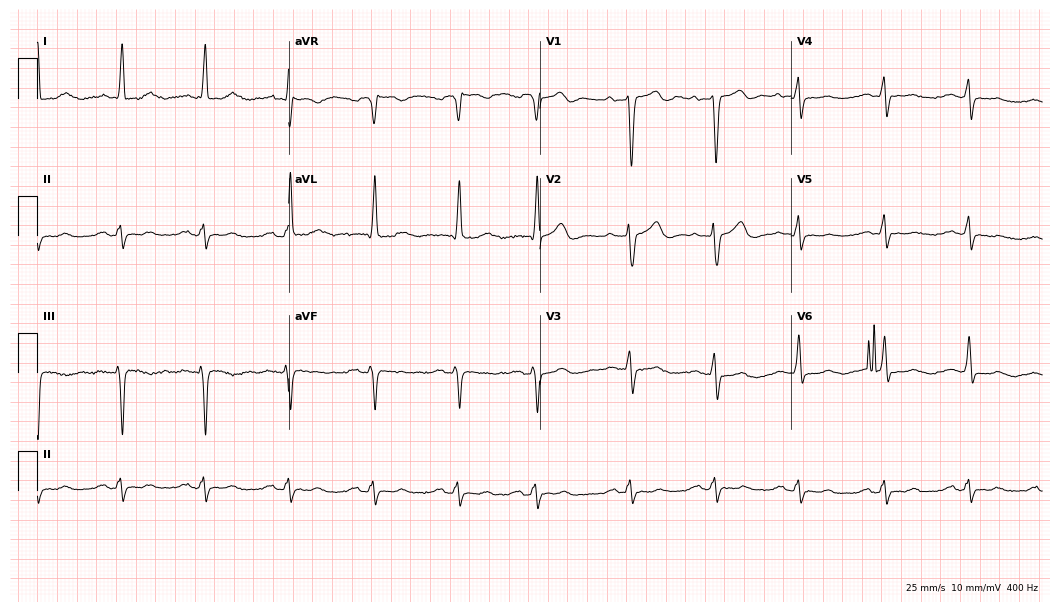
Standard 12-lead ECG recorded from a 75-year-old man. None of these six findings is recorded: first-degree AV block, right bundle branch block, left bundle branch block, sinus bradycardia, atrial fibrillation, sinus tachycardia. Other findings, if any, are not listed.